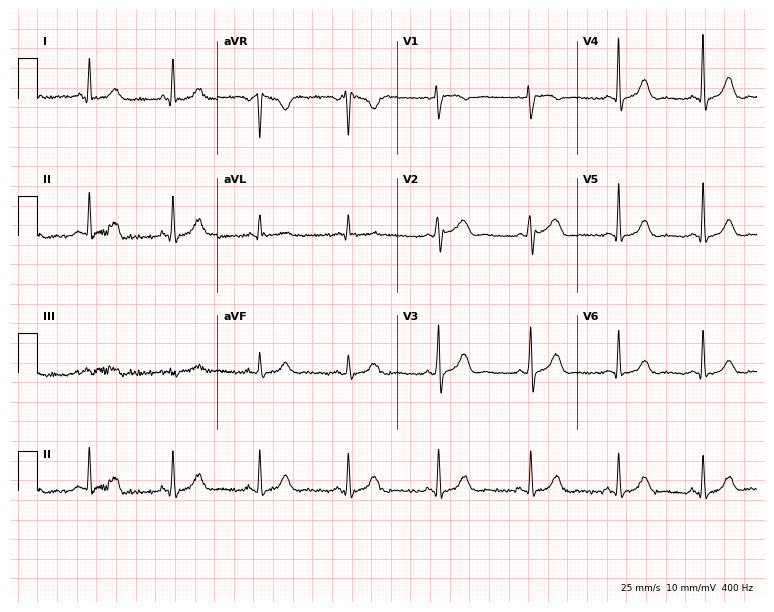
Electrocardiogram, a female, 58 years old. Overall reading on record: normal ECG.